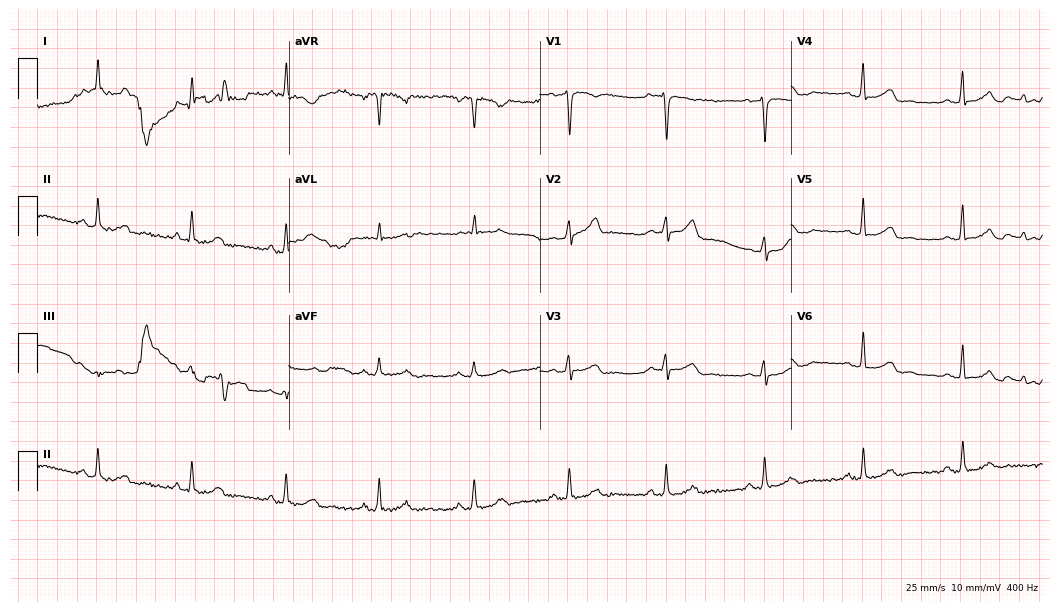
12-lead ECG from a 37-year-old female patient. No first-degree AV block, right bundle branch block, left bundle branch block, sinus bradycardia, atrial fibrillation or sinus tachycardia recorded for this tracing.